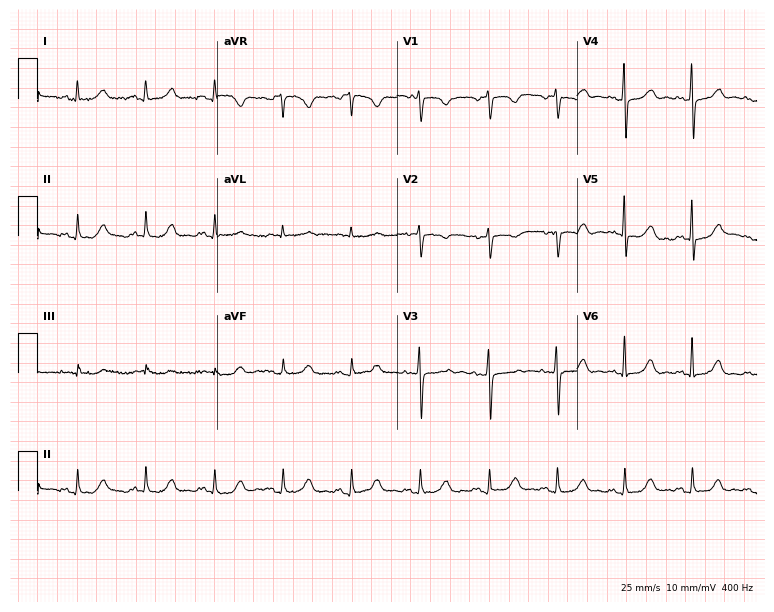
Resting 12-lead electrocardiogram (7.3-second recording at 400 Hz). Patient: a 63-year-old woman. None of these six findings is recorded: first-degree AV block, right bundle branch block, left bundle branch block, sinus bradycardia, atrial fibrillation, sinus tachycardia. Other findings, if any, are not listed.